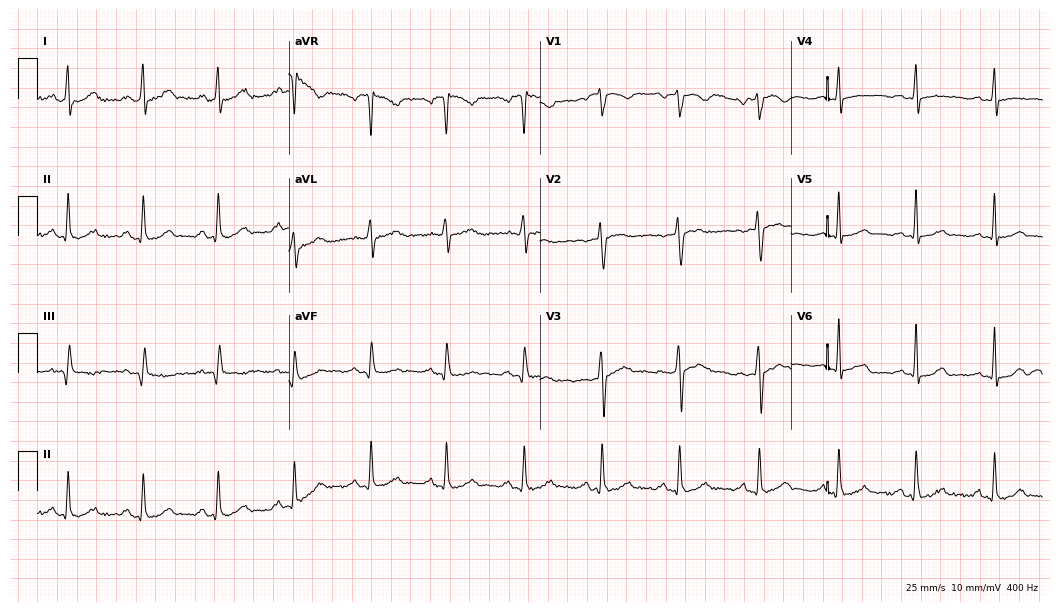
12-lead ECG (10.2-second recording at 400 Hz) from a woman, 30 years old. Labelled as a normal ECG.